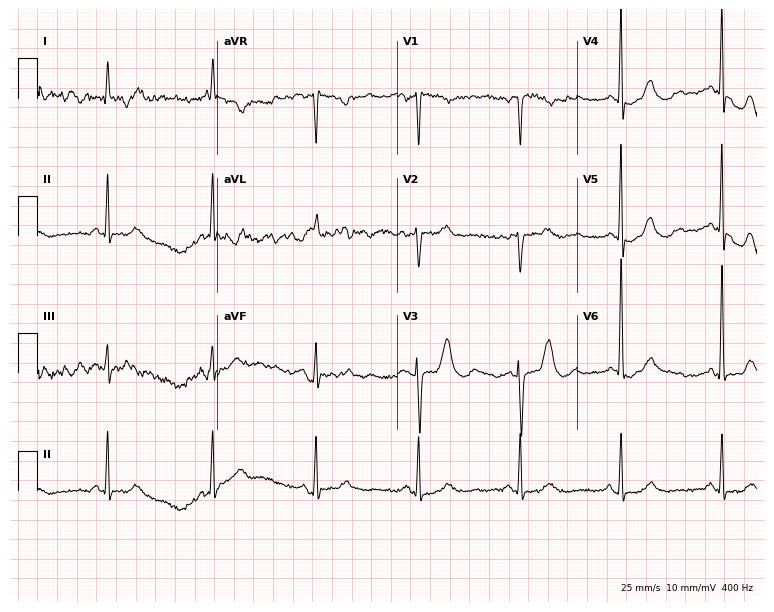
Electrocardiogram (7.3-second recording at 400 Hz), a woman, 82 years old. Overall reading on record: normal ECG.